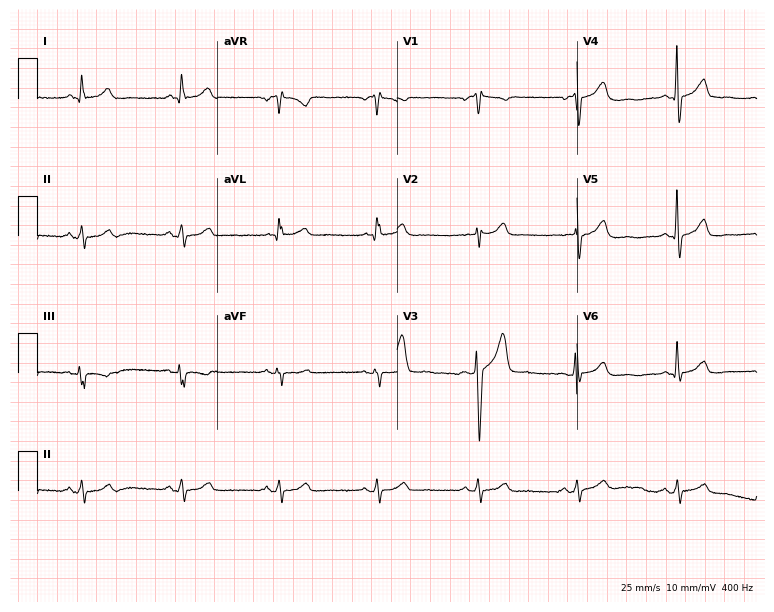
ECG (7.3-second recording at 400 Hz) — a male, 50 years old. Labelled as a normal ECG.